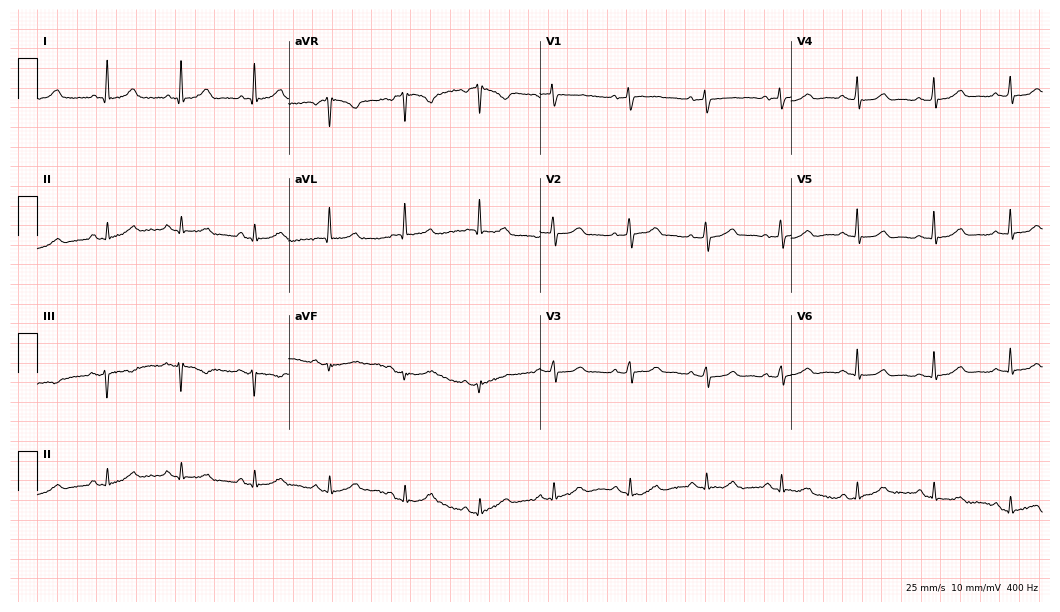
12-lead ECG from a female patient, 53 years old (10.2-second recording at 400 Hz). Recorded interpretation: within normal limits.